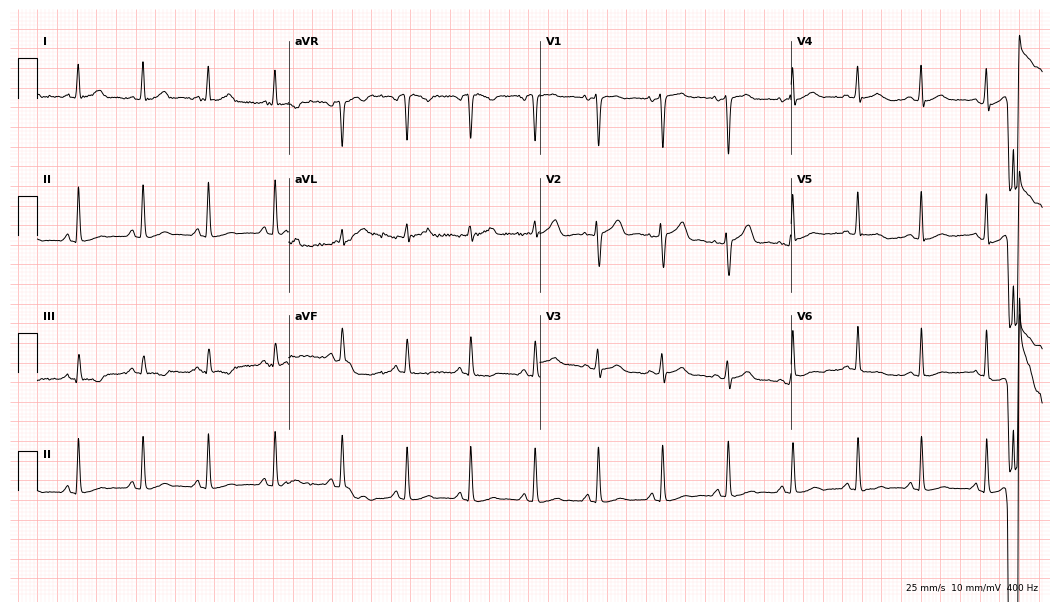
Standard 12-lead ECG recorded from a 38-year-old woman. None of these six findings is recorded: first-degree AV block, right bundle branch block (RBBB), left bundle branch block (LBBB), sinus bradycardia, atrial fibrillation (AF), sinus tachycardia.